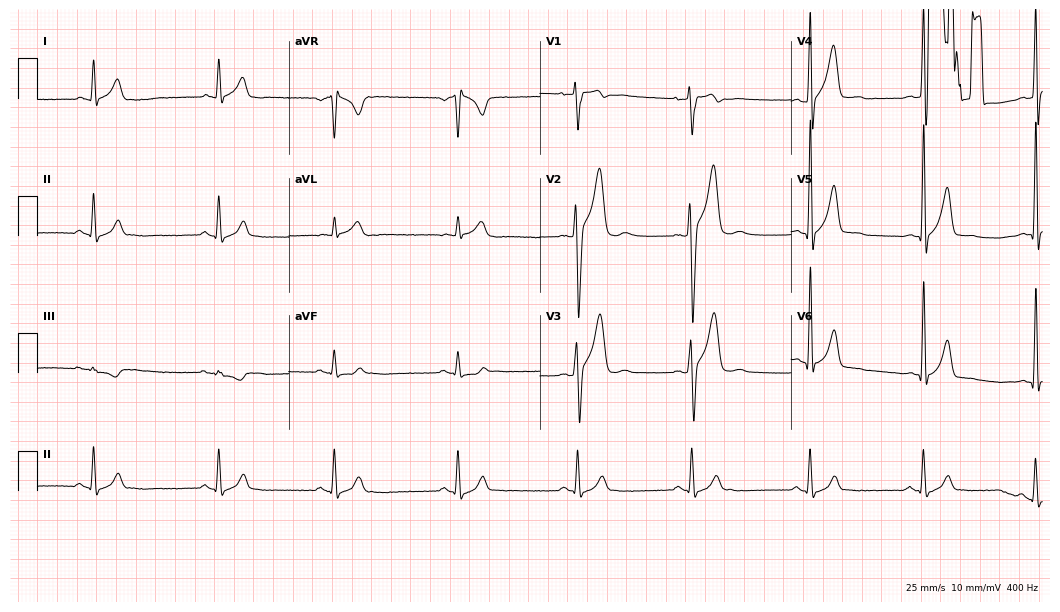
12-lead ECG from a male patient, 34 years old. Labelled as a normal ECG.